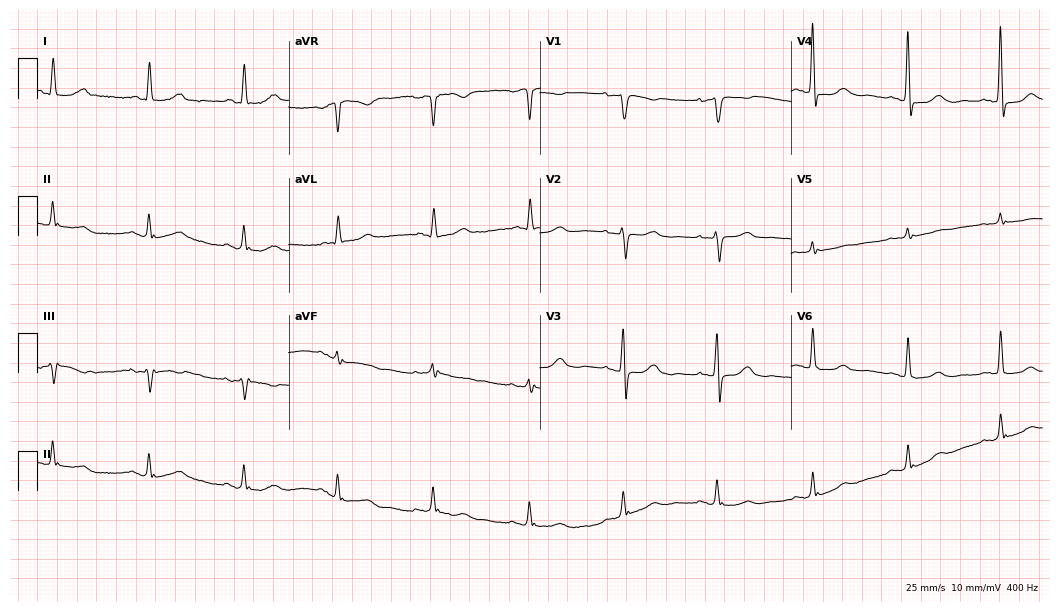
12-lead ECG (10.2-second recording at 400 Hz) from a woman, 81 years old. Screened for six findings — first-degree AV block, right bundle branch block (RBBB), left bundle branch block (LBBB), sinus bradycardia, atrial fibrillation (AF), sinus tachycardia — none is recorded.